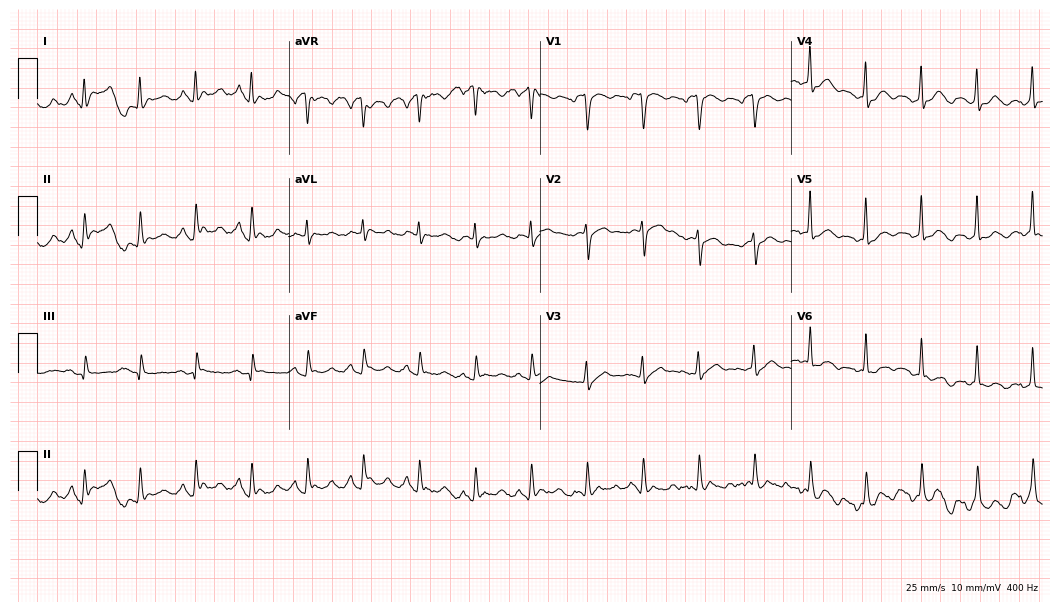
12-lead ECG from a 63-year-old man. Screened for six findings — first-degree AV block, right bundle branch block, left bundle branch block, sinus bradycardia, atrial fibrillation, sinus tachycardia — none is recorded.